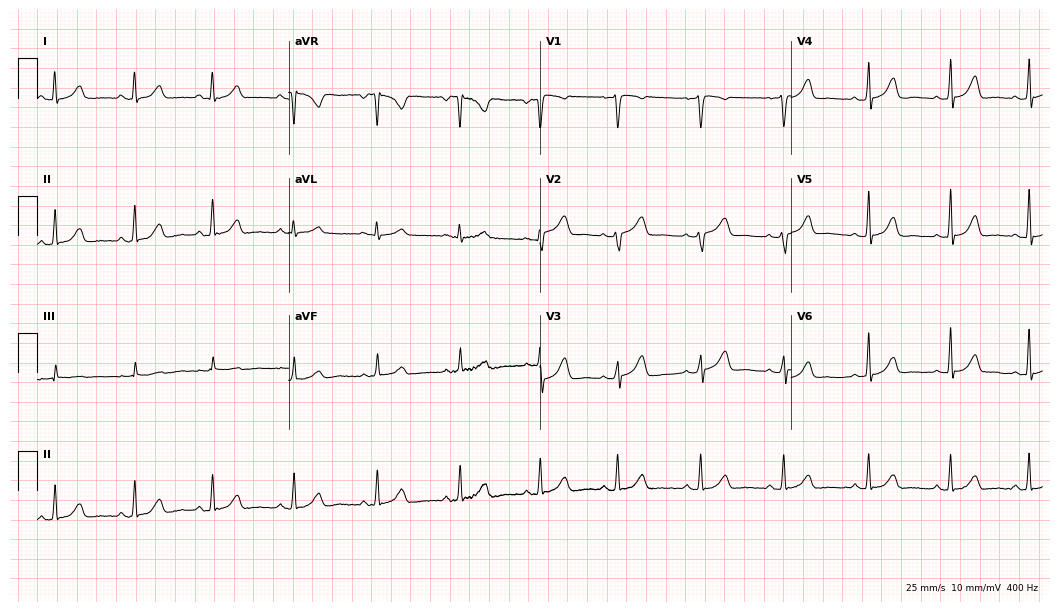
Electrocardiogram (10.2-second recording at 400 Hz), a female, 36 years old. Overall reading on record: normal ECG.